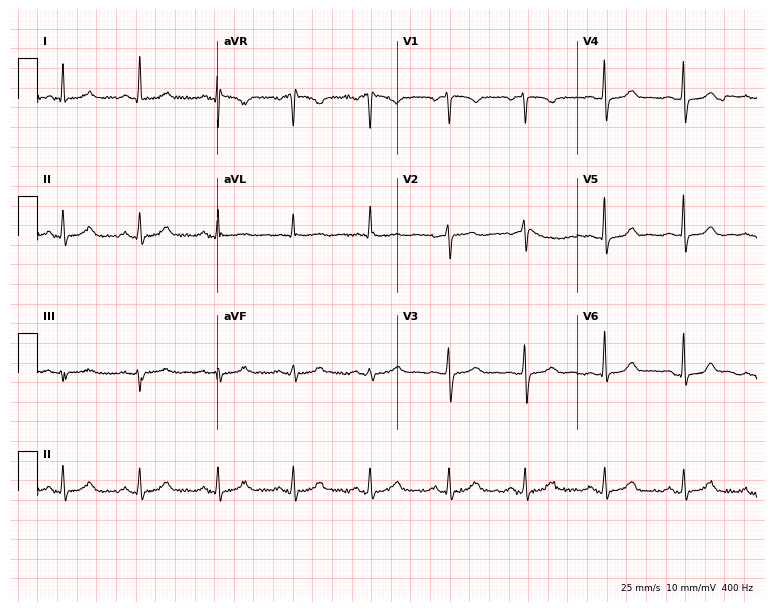
12-lead ECG (7.3-second recording at 400 Hz) from a woman, 33 years old. Labelled as a normal ECG.